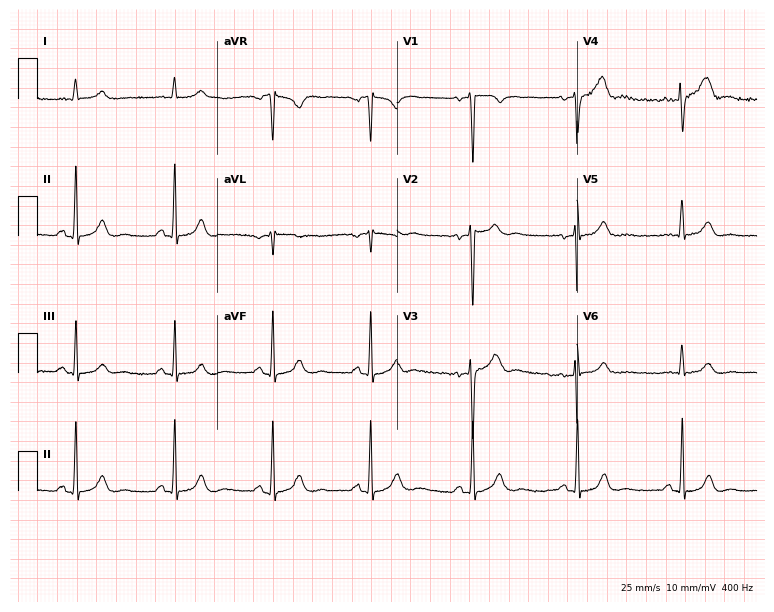
12-lead ECG from a male patient, 49 years old (7.3-second recording at 400 Hz). No first-degree AV block, right bundle branch block, left bundle branch block, sinus bradycardia, atrial fibrillation or sinus tachycardia recorded for this tracing.